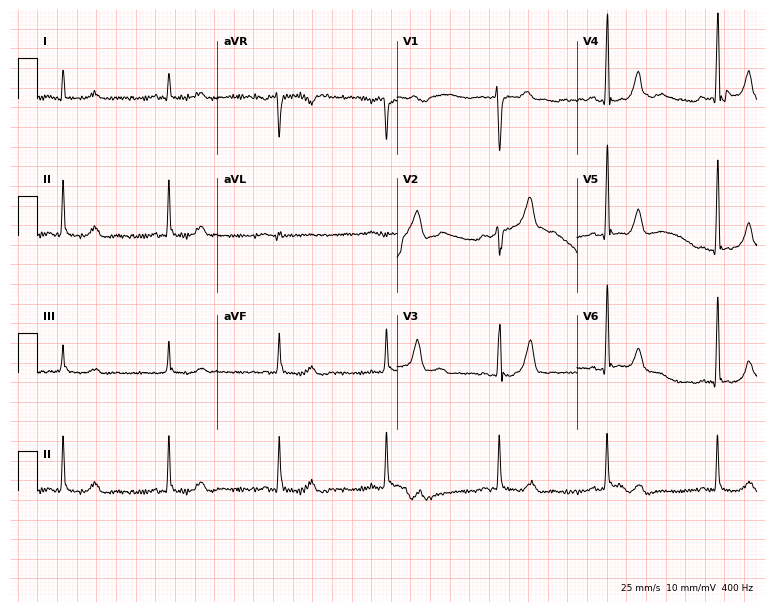
Resting 12-lead electrocardiogram. Patient: a 59-year-old man. None of these six findings is recorded: first-degree AV block, right bundle branch block, left bundle branch block, sinus bradycardia, atrial fibrillation, sinus tachycardia. Findings outside these six are not listed.